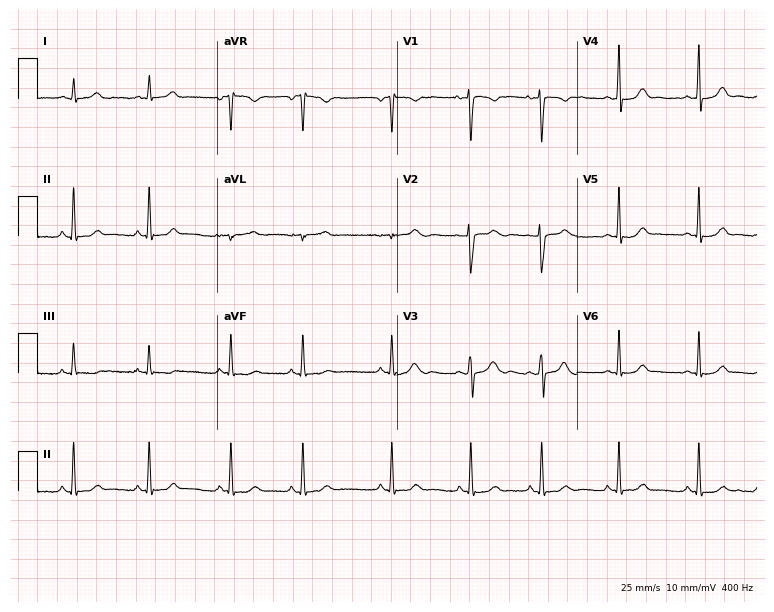
Resting 12-lead electrocardiogram. Patient: a woman, 19 years old. Read as a normal ECG.